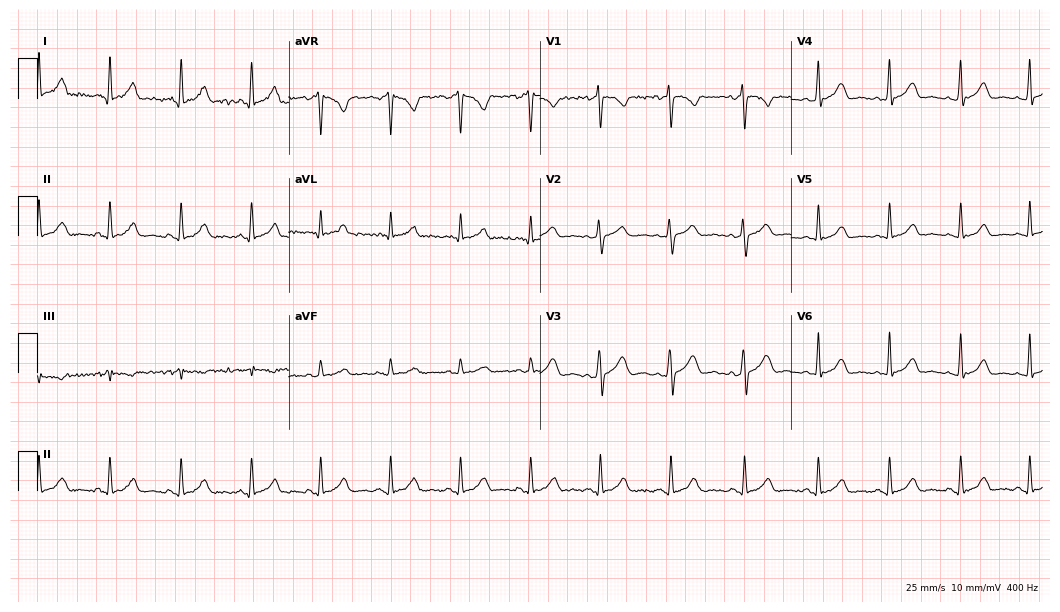
Resting 12-lead electrocardiogram. Patient: a female, 31 years old. Read as a normal ECG.